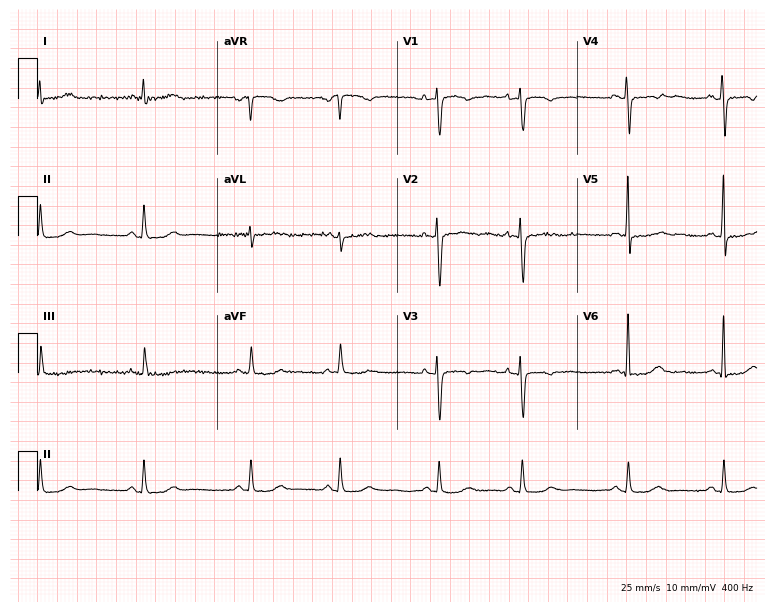
Resting 12-lead electrocardiogram (7.3-second recording at 400 Hz). Patient: a female, 33 years old. None of these six findings is recorded: first-degree AV block, right bundle branch block, left bundle branch block, sinus bradycardia, atrial fibrillation, sinus tachycardia. Other findings, if any, are not listed.